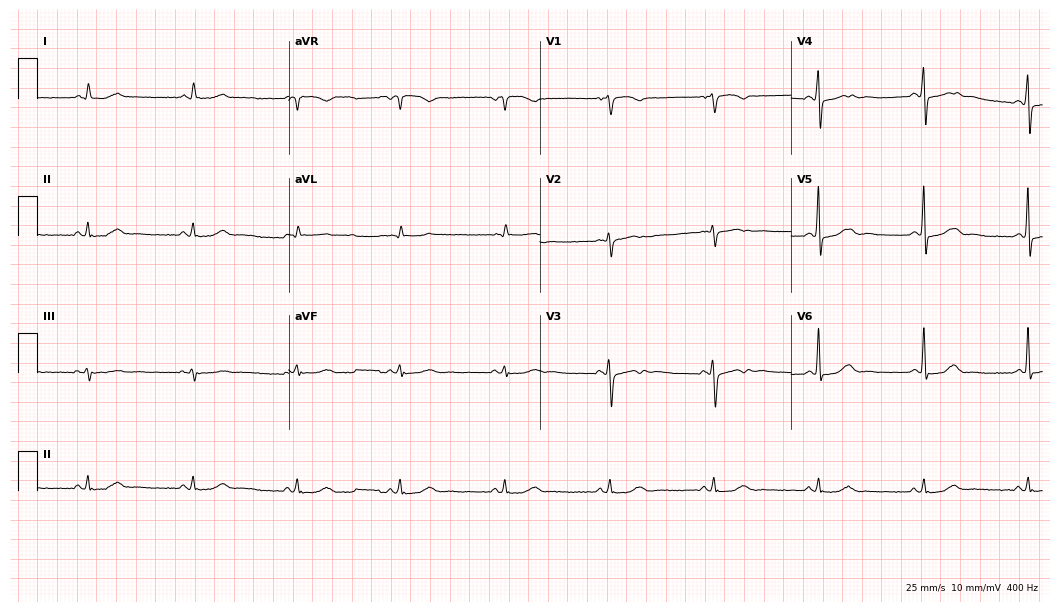
Standard 12-lead ECG recorded from a female, 77 years old (10.2-second recording at 400 Hz). None of these six findings is recorded: first-degree AV block, right bundle branch block, left bundle branch block, sinus bradycardia, atrial fibrillation, sinus tachycardia.